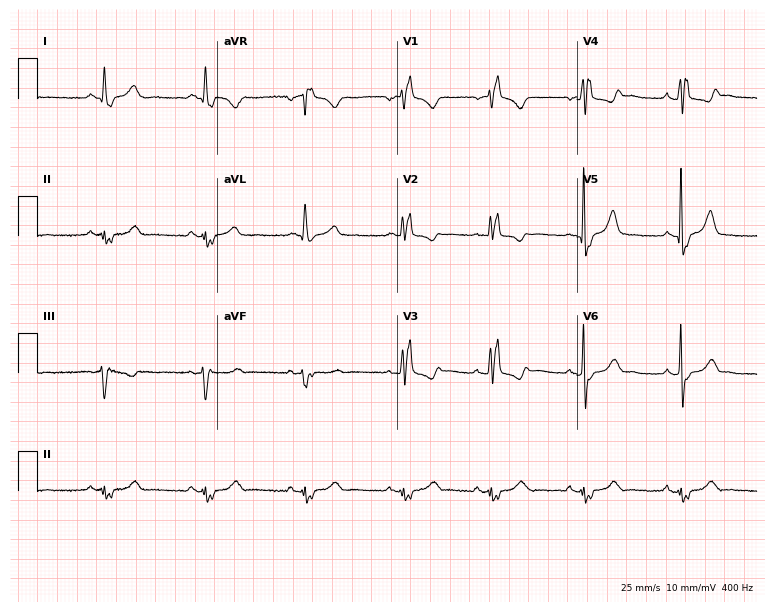
12-lead ECG (7.3-second recording at 400 Hz) from a female, 37 years old. Findings include right bundle branch block.